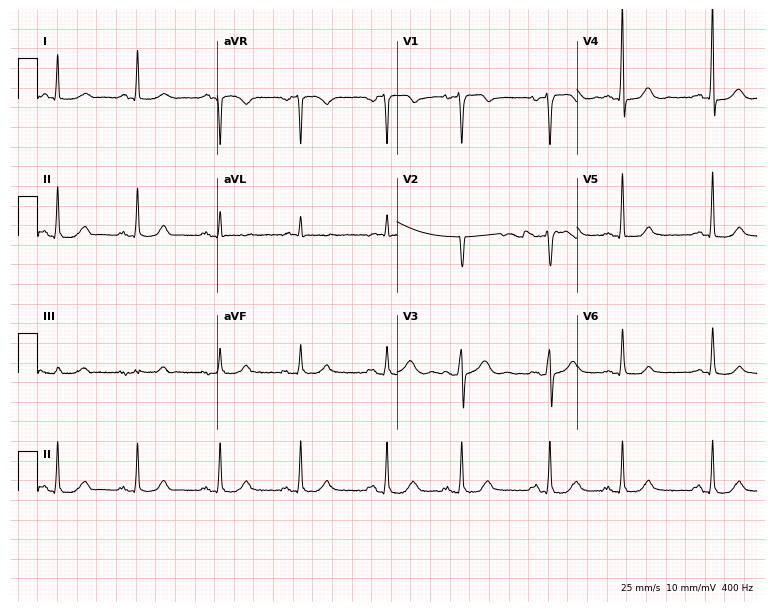
Electrocardiogram, a male patient, 74 years old. Of the six screened findings (first-degree AV block, right bundle branch block, left bundle branch block, sinus bradycardia, atrial fibrillation, sinus tachycardia), none is recorded.